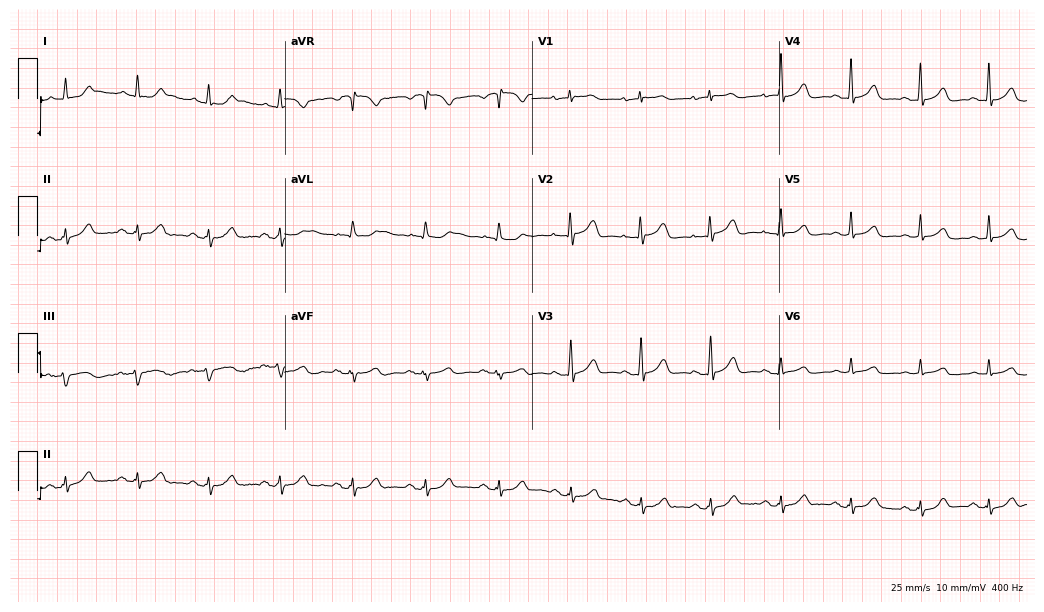
Electrocardiogram (10.1-second recording at 400 Hz), an 80-year-old female patient. Overall reading on record: normal ECG.